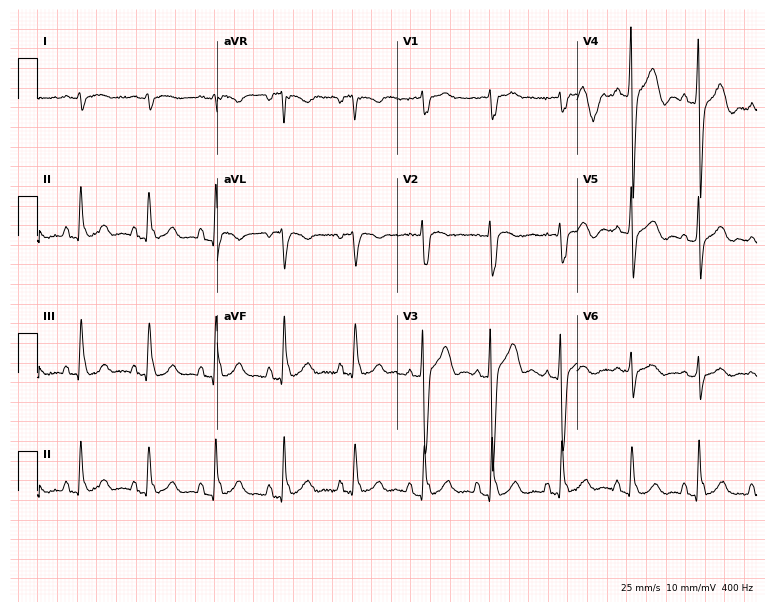
ECG — a male, 47 years old. Screened for six findings — first-degree AV block, right bundle branch block, left bundle branch block, sinus bradycardia, atrial fibrillation, sinus tachycardia — none is recorded.